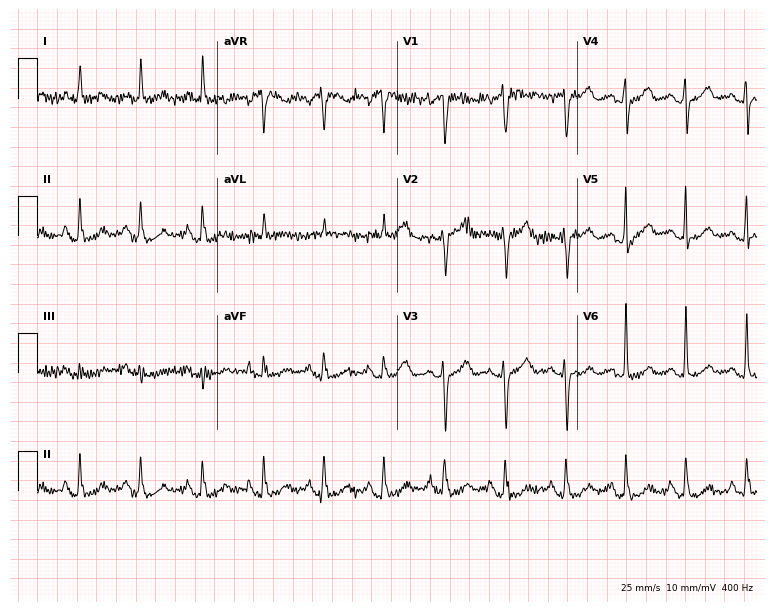
12-lead ECG from a female patient, 72 years old. No first-degree AV block, right bundle branch block, left bundle branch block, sinus bradycardia, atrial fibrillation or sinus tachycardia recorded for this tracing. Findings outside these six are not listed.